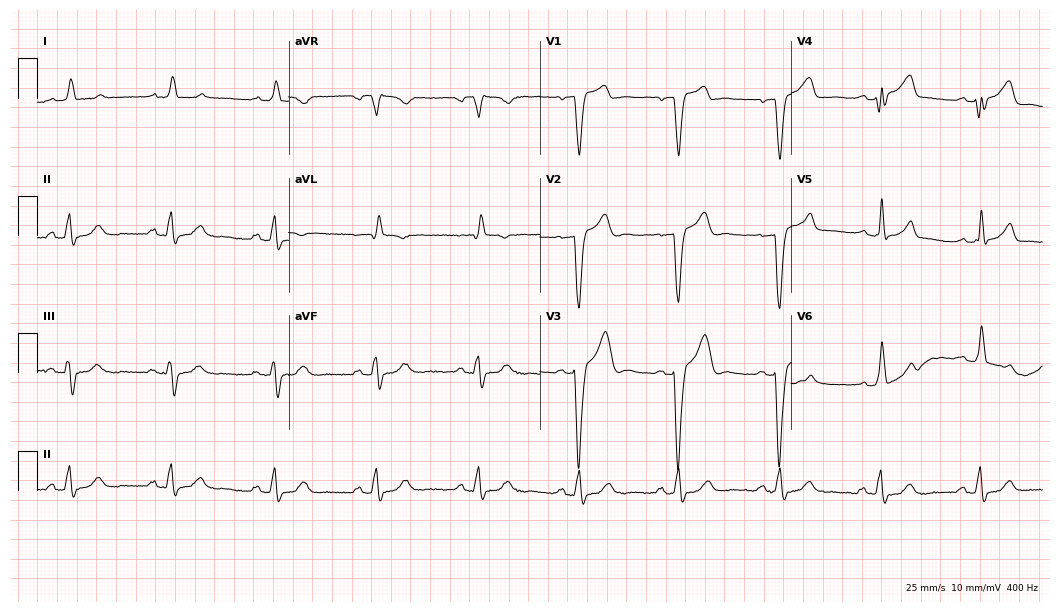
ECG (10.2-second recording at 400 Hz) — a 53-year-old male patient. Findings include left bundle branch block (LBBB).